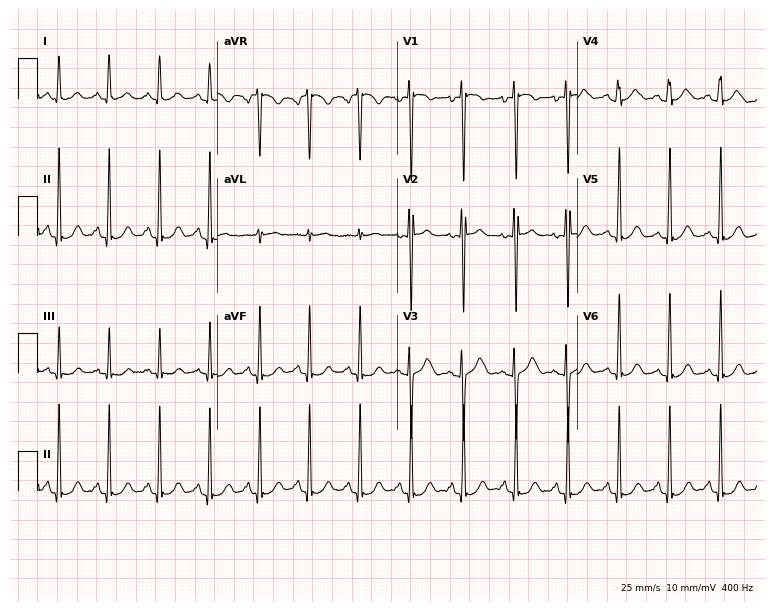
12-lead ECG (7.3-second recording at 400 Hz) from an 18-year-old female. Findings include sinus tachycardia (a sinus rate of 100 beats per minute or more).